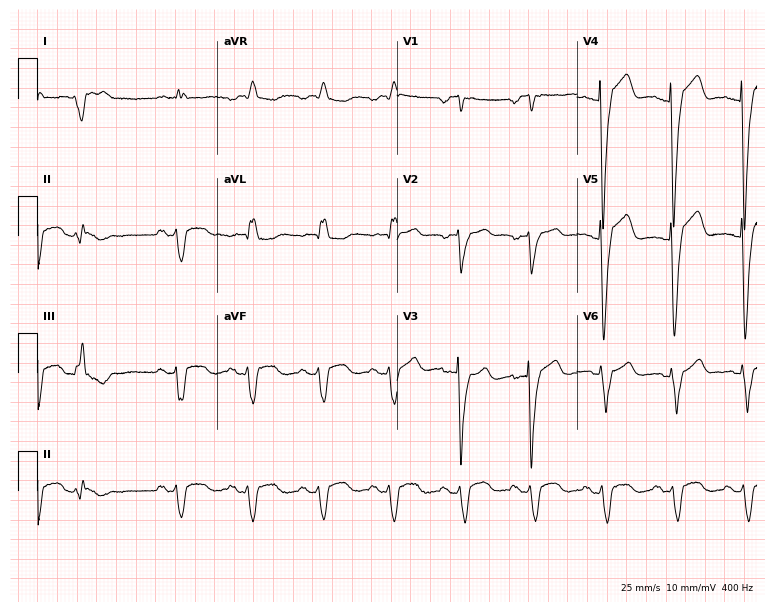
ECG — a female, 79 years old. Findings include left bundle branch block.